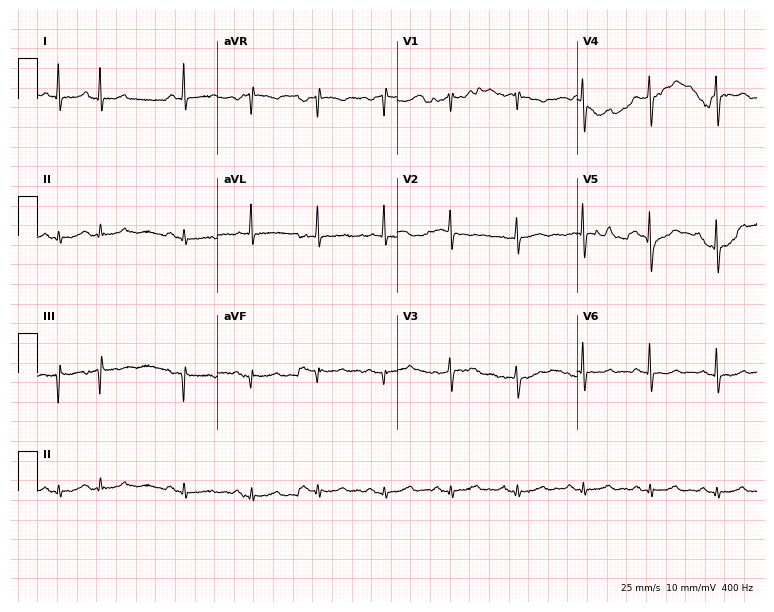
ECG (7.3-second recording at 400 Hz) — a male, 68 years old. Screened for six findings — first-degree AV block, right bundle branch block, left bundle branch block, sinus bradycardia, atrial fibrillation, sinus tachycardia — none is recorded. Other findings, if any, are not listed.